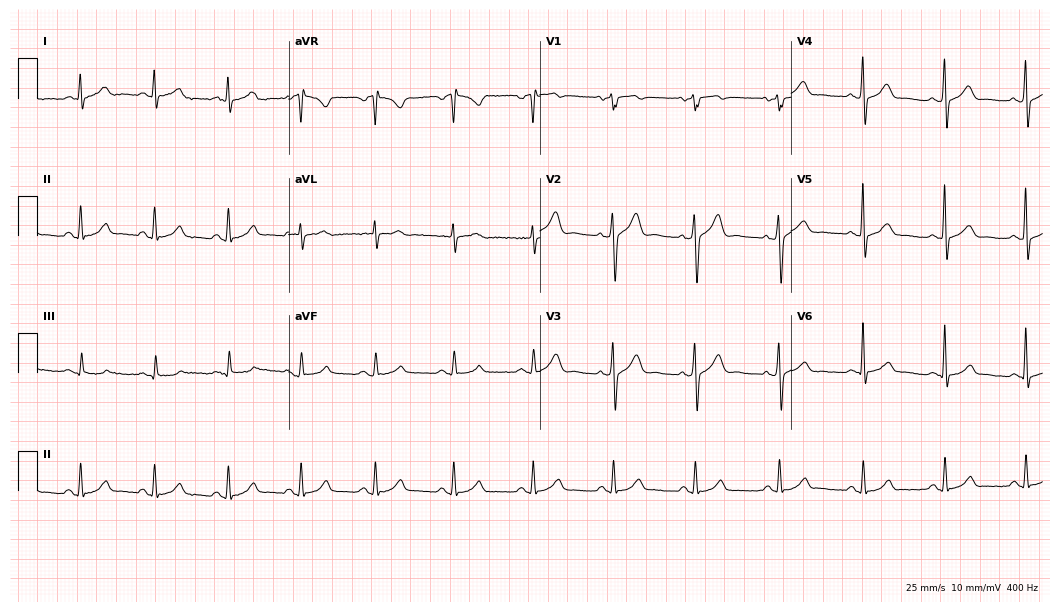
Electrocardiogram (10.2-second recording at 400 Hz), a 56-year-old male patient. Overall reading on record: normal ECG.